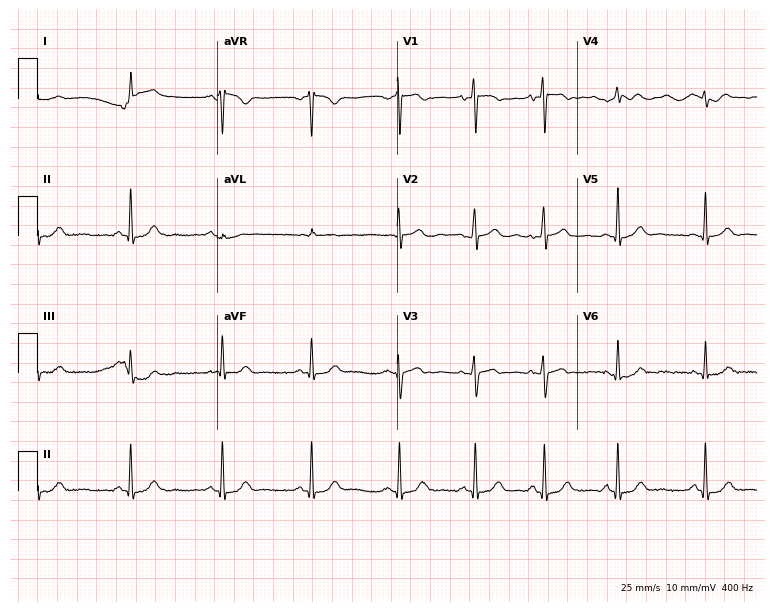
ECG (7.3-second recording at 400 Hz) — a 22-year-old male patient. Labelled as a normal ECG.